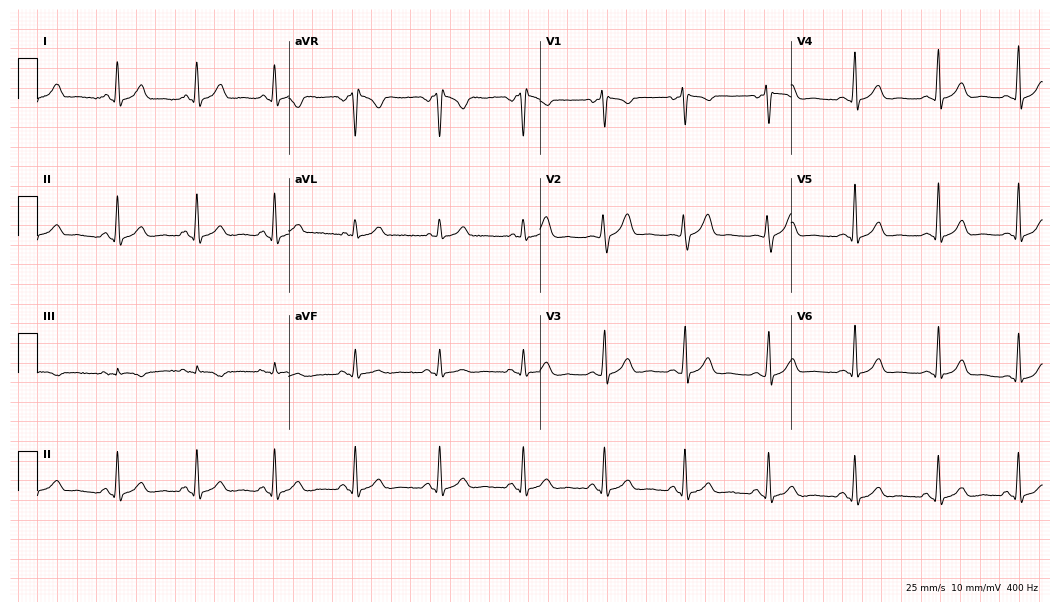
ECG (10.2-second recording at 400 Hz) — a 29-year-old female. Screened for six findings — first-degree AV block, right bundle branch block, left bundle branch block, sinus bradycardia, atrial fibrillation, sinus tachycardia — none is recorded. Other findings, if any, are not listed.